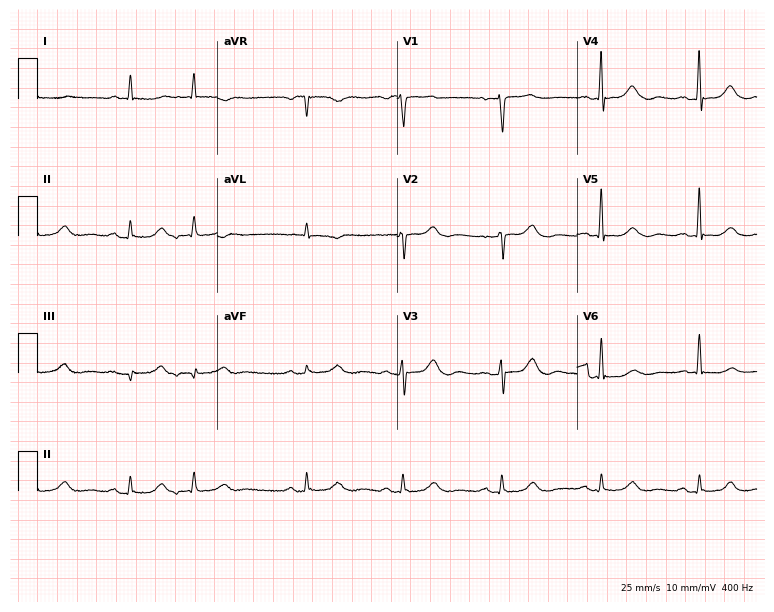
12-lead ECG from a 77-year-old woman. Labelled as a normal ECG.